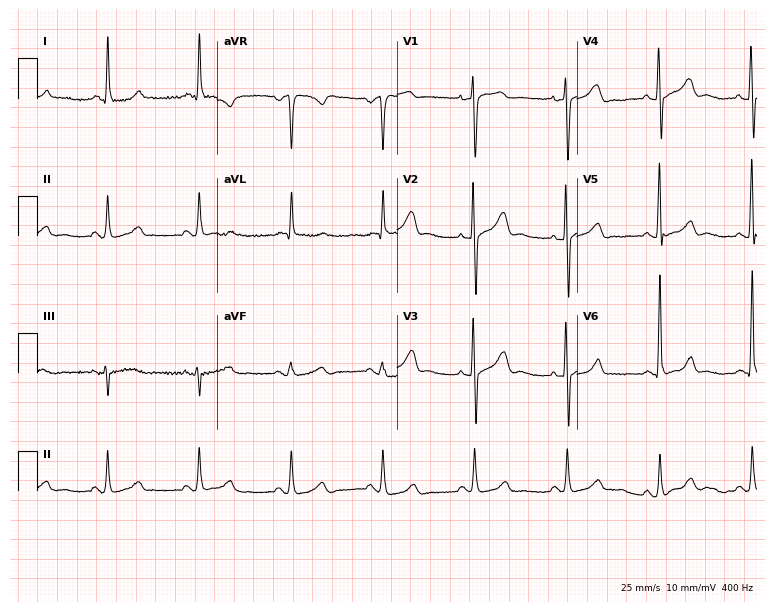
Resting 12-lead electrocardiogram. Patient: a 57-year-old female. Read as a normal ECG.